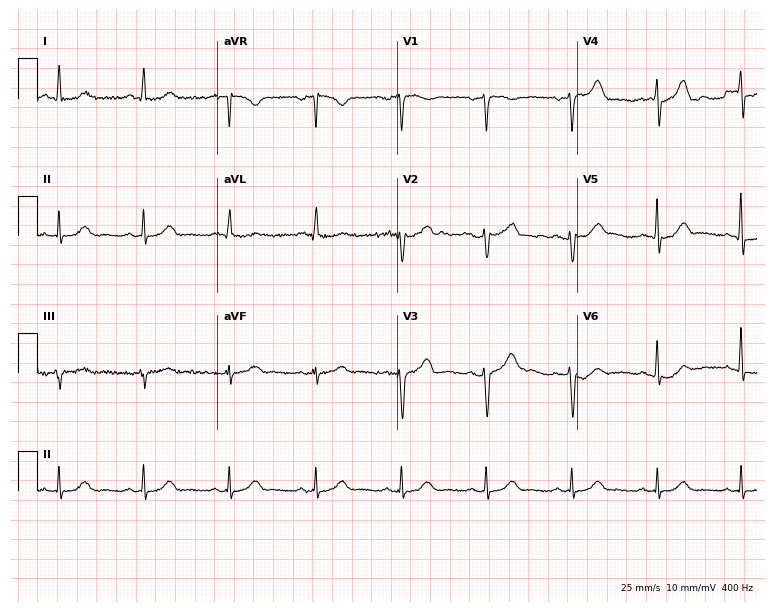
12-lead ECG from a 61-year-old female patient. Recorded interpretation: within normal limits.